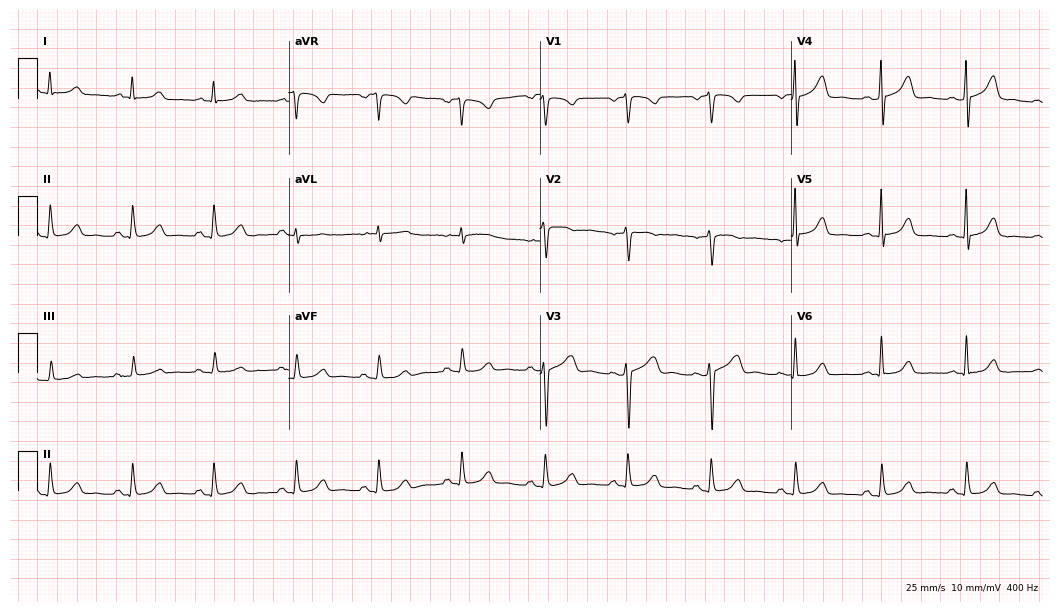
ECG (10.2-second recording at 400 Hz) — a woman, 55 years old. Labelled as a normal ECG.